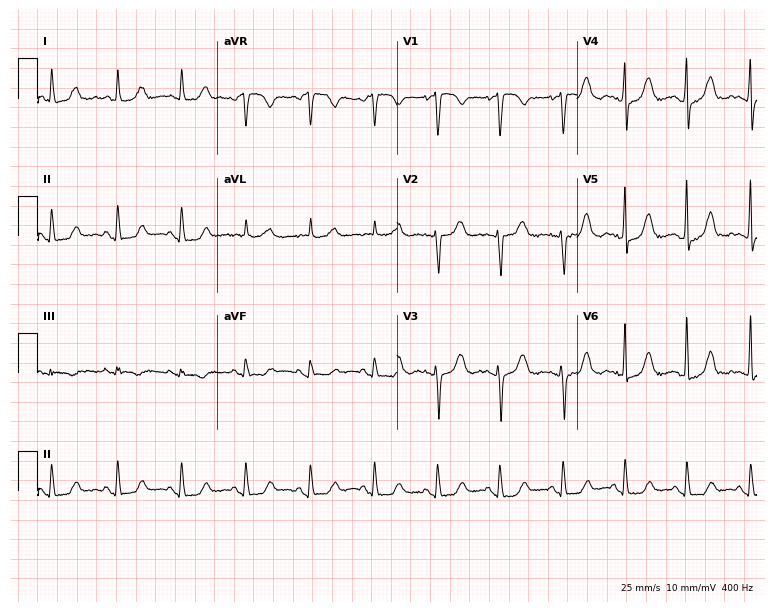
ECG — a woman, 67 years old. Screened for six findings — first-degree AV block, right bundle branch block, left bundle branch block, sinus bradycardia, atrial fibrillation, sinus tachycardia — none is recorded.